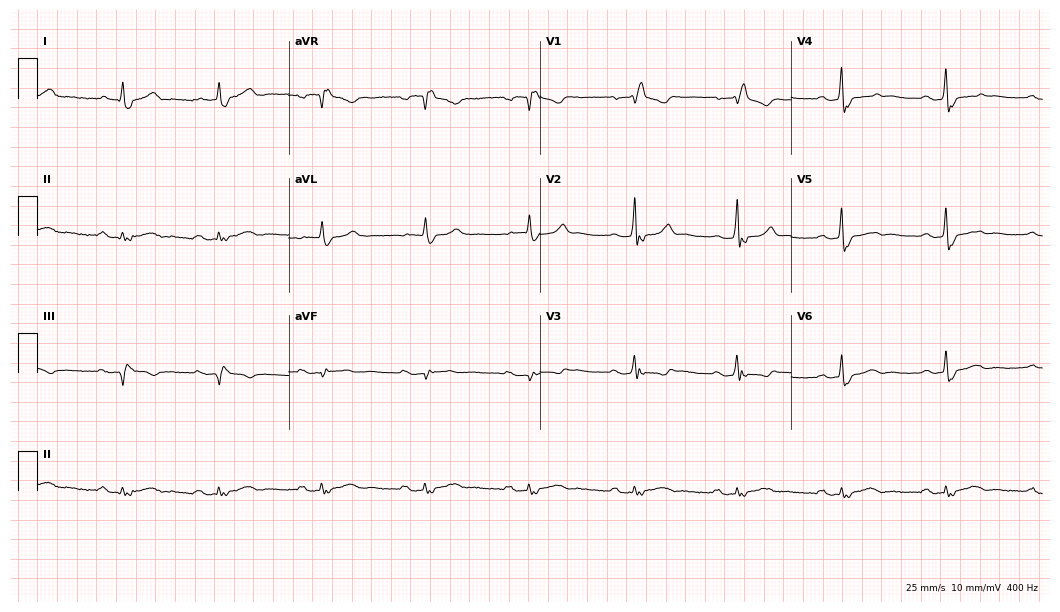
Standard 12-lead ECG recorded from a 74-year-old man (10.2-second recording at 400 Hz). None of these six findings is recorded: first-degree AV block, right bundle branch block, left bundle branch block, sinus bradycardia, atrial fibrillation, sinus tachycardia. Only these six findings were labelled.